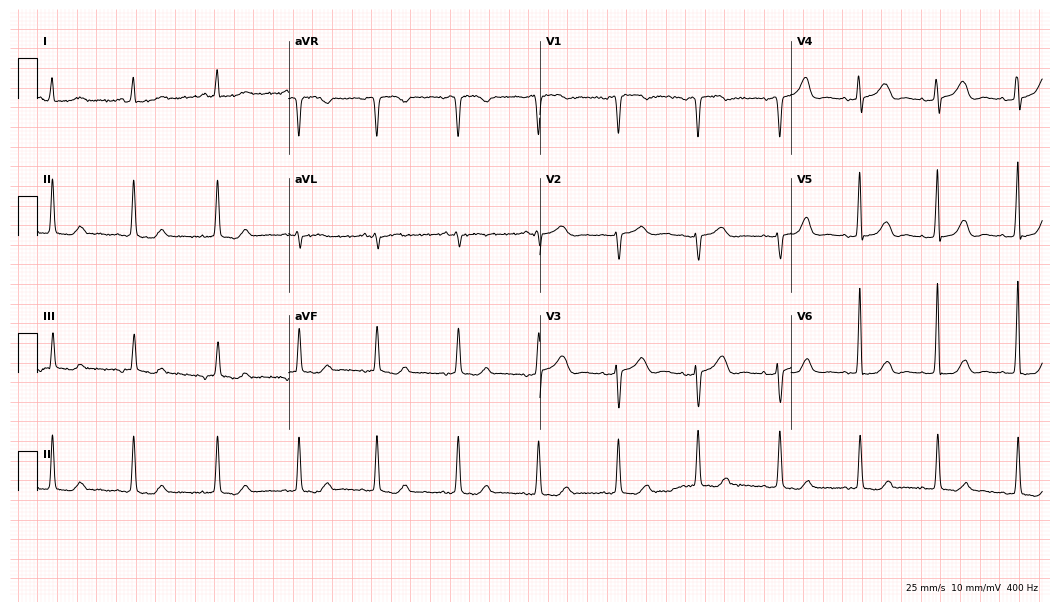
Electrocardiogram, a female patient, 80 years old. Of the six screened findings (first-degree AV block, right bundle branch block (RBBB), left bundle branch block (LBBB), sinus bradycardia, atrial fibrillation (AF), sinus tachycardia), none is recorded. Other findings, if any, are not listed.